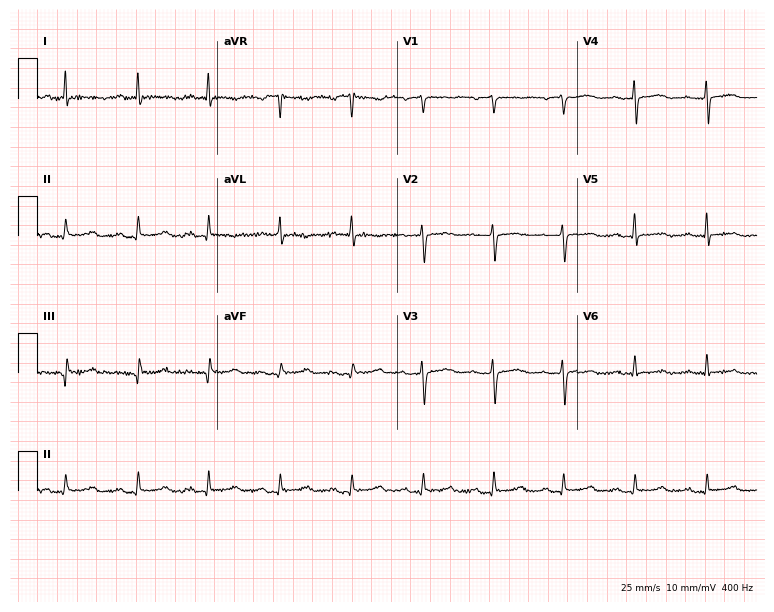
Electrocardiogram (7.3-second recording at 400 Hz), a female patient, 54 years old. Of the six screened findings (first-degree AV block, right bundle branch block, left bundle branch block, sinus bradycardia, atrial fibrillation, sinus tachycardia), none is recorded.